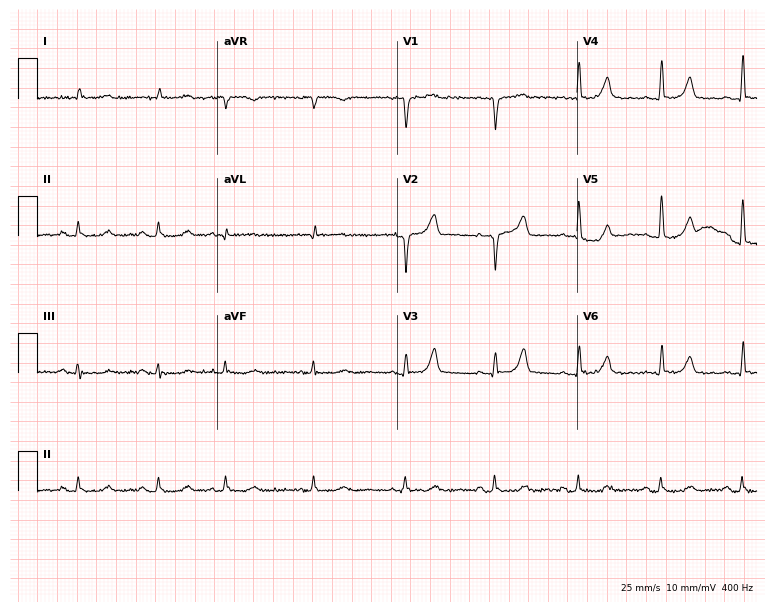
12-lead ECG from a 72-year-old male patient (7.3-second recording at 400 Hz). No first-degree AV block, right bundle branch block, left bundle branch block, sinus bradycardia, atrial fibrillation or sinus tachycardia recorded for this tracing. Only these six findings were labelled.